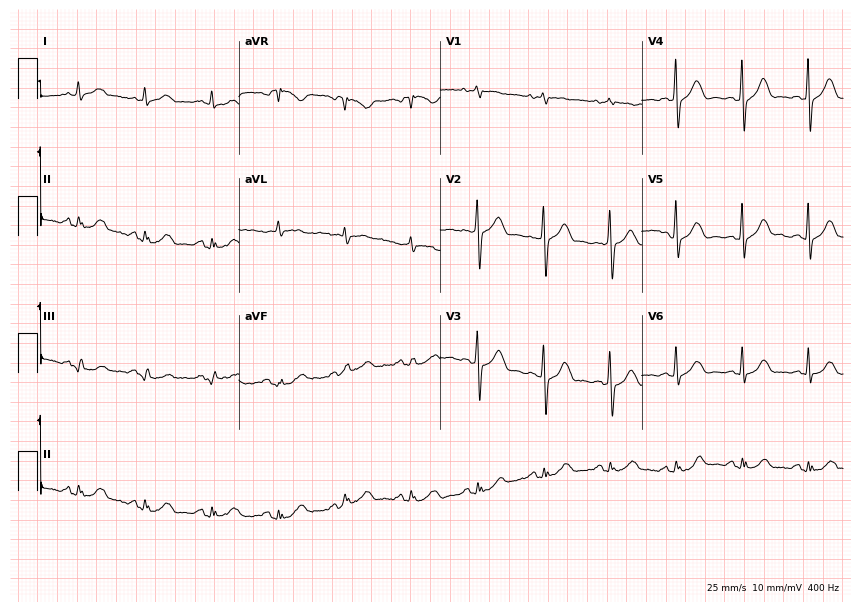
Standard 12-lead ECG recorded from a female patient, 82 years old. None of these six findings is recorded: first-degree AV block, right bundle branch block (RBBB), left bundle branch block (LBBB), sinus bradycardia, atrial fibrillation (AF), sinus tachycardia.